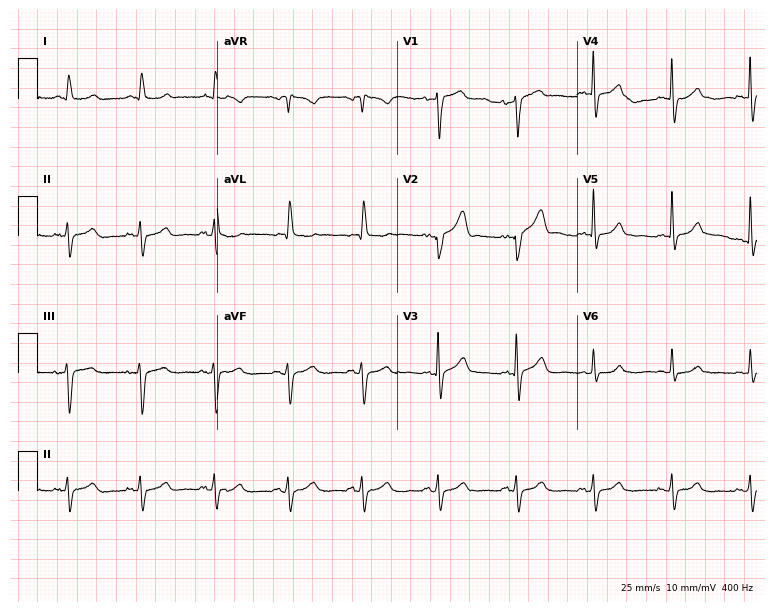
12-lead ECG from a 64-year-old woman. Screened for six findings — first-degree AV block, right bundle branch block (RBBB), left bundle branch block (LBBB), sinus bradycardia, atrial fibrillation (AF), sinus tachycardia — none is recorded. Other findings, if any, are not listed.